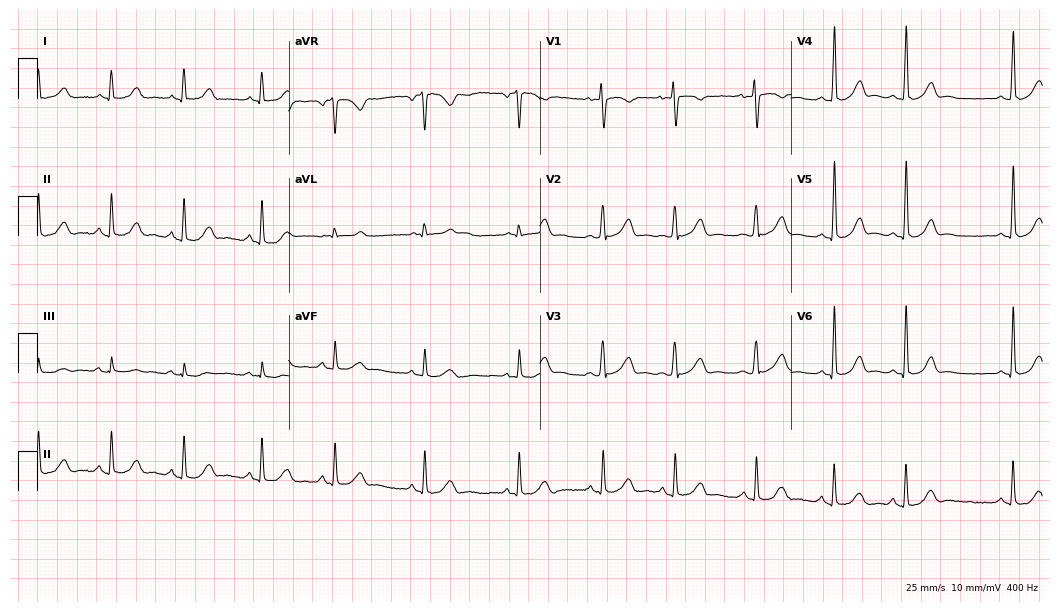
Resting 12-lead electrocardiogram. Patient: a 26-year-old female. None of these six findings is recorded: first-degree AV block, right bundle branch block, left bundle branch block, sinus bradycardia, atrial fibrillation, sinus tachycardia. Only these six findings were labelled.